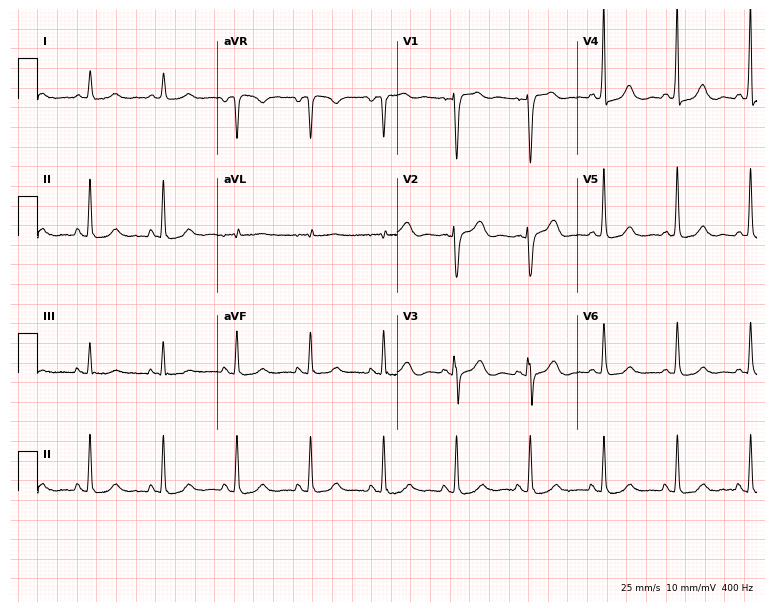
Standard 12-lead ECG recorded from a woman, 67 years old. Read as a normal ECG.